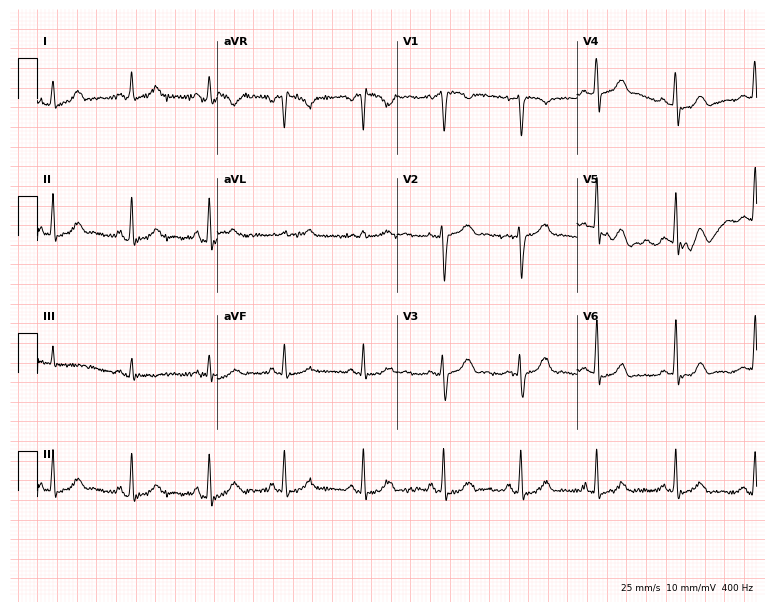
12-lead ECG from a 26-year-old woman. Screened for six findings — first-degree AV block, right bundle branch block, left bundle branch block, sinus bradycardia, atrial fibrillation, sinus tachycardia — none is recorded.